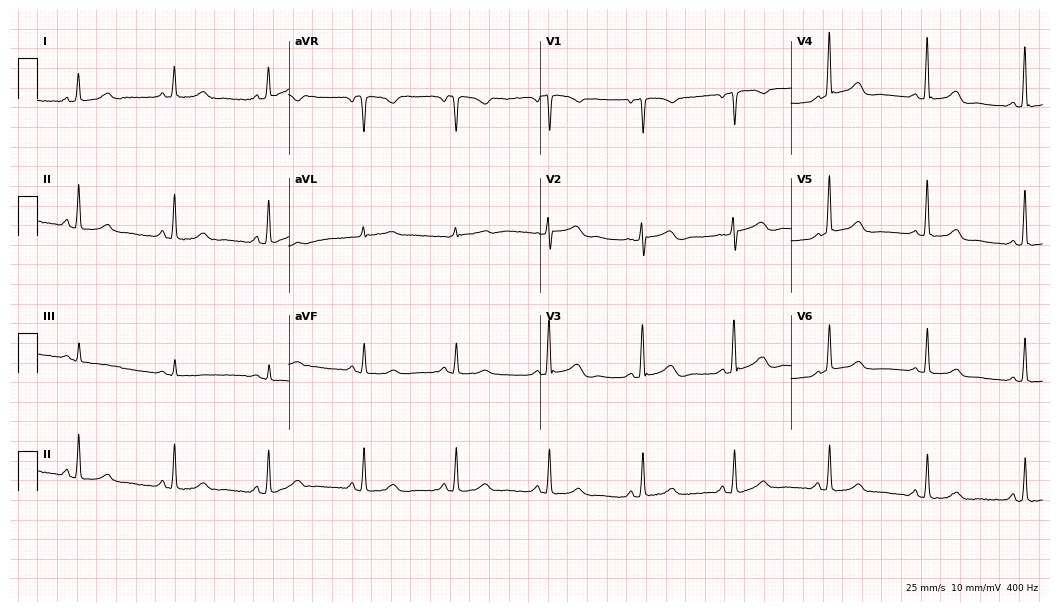
ECG — a 50-year-old female. Screened for six findings — first-degree AV block, right bundle branch block, left bundle branch block, sinus bradycardia, atrial fibrillation, sinus tachycardia — none is recorded. Only these six findings were labelled.